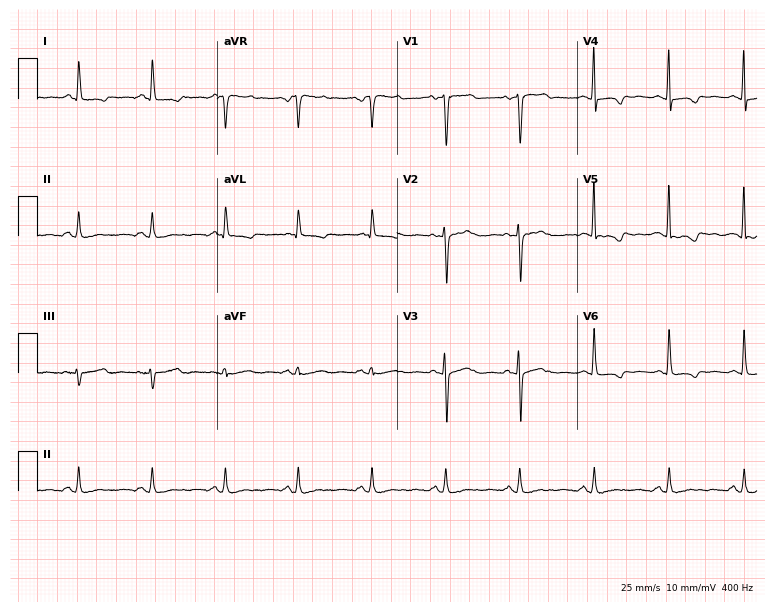
Resting 12-lead electrocardiogram. Patient: a 56-year-old female. None of these six findings is recorded: first-degree AV block, right bundle branch block, left bundle branch block, sinus bradycardia, atrial fibrillation, sinus tachycardia.